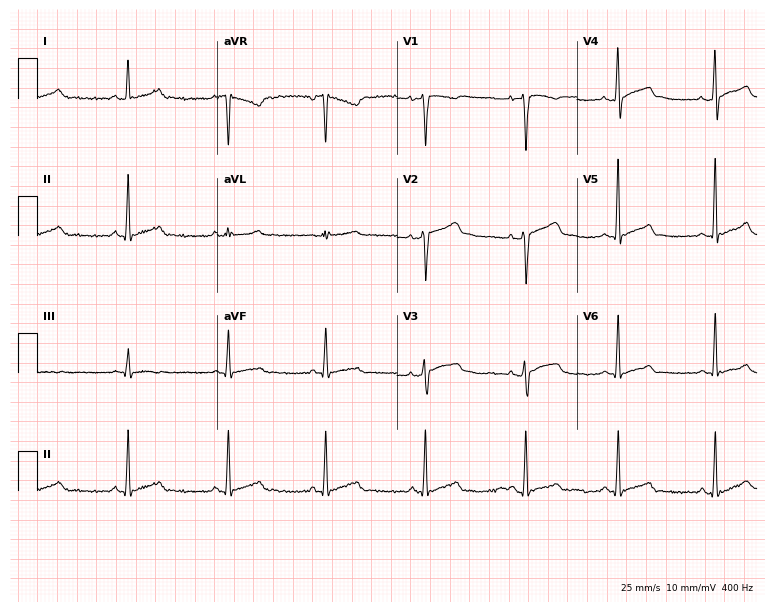
12-lead ECG from a 19-year-old male patient. Recorded interpretation: within normal limits.